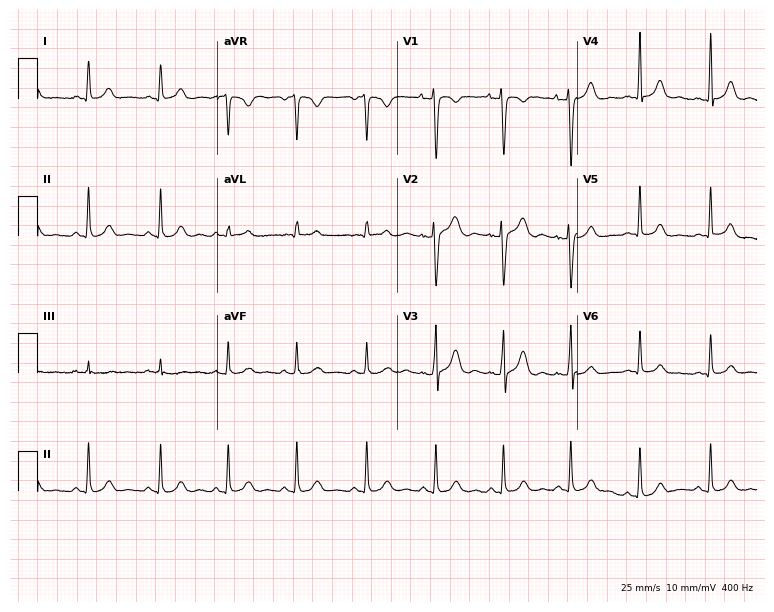
Electrocardiogram, a woman, 25 years old. Of the six screened findings (first-degree AV block, right bundle branch block, left bundle branch block, sinus bradycardia, atrial fibrillation, sinus tachycardia), none is recorded. Other findings, if any, are not listed.